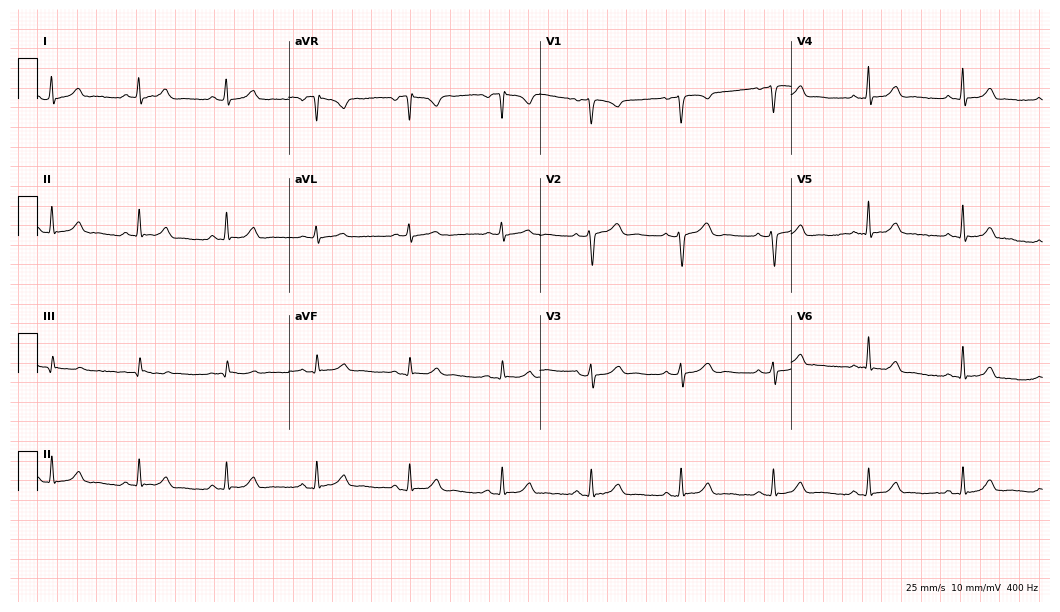
Electrocardiogram, a female patient, 29 years old. Of the six screened findings (first-degree AV block, right bundle branch block, left bundle branch block, sinus bradycardia, atrial fibrillation, sinus tachycardia), none is recorded. Other findings, if any, are not listed.